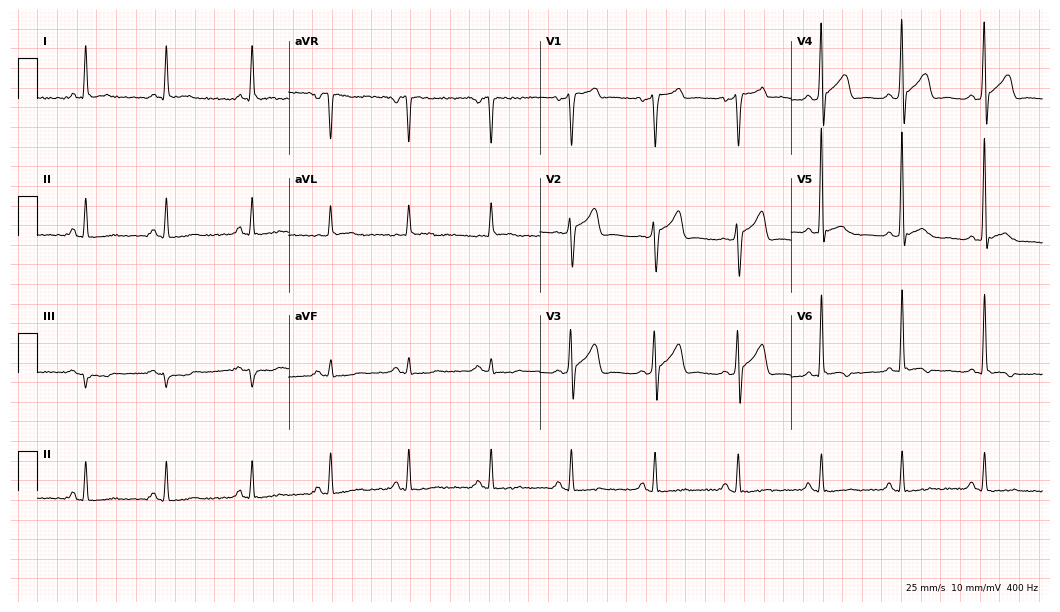
Electrocardiogram, a 63-year-old male patient. Of the six screened findings (first-degree AV block, right bundle branch block, left bundle branch block, sinus bradycardia, atrial fibrillation, sinus tachycardia), none is recorded.